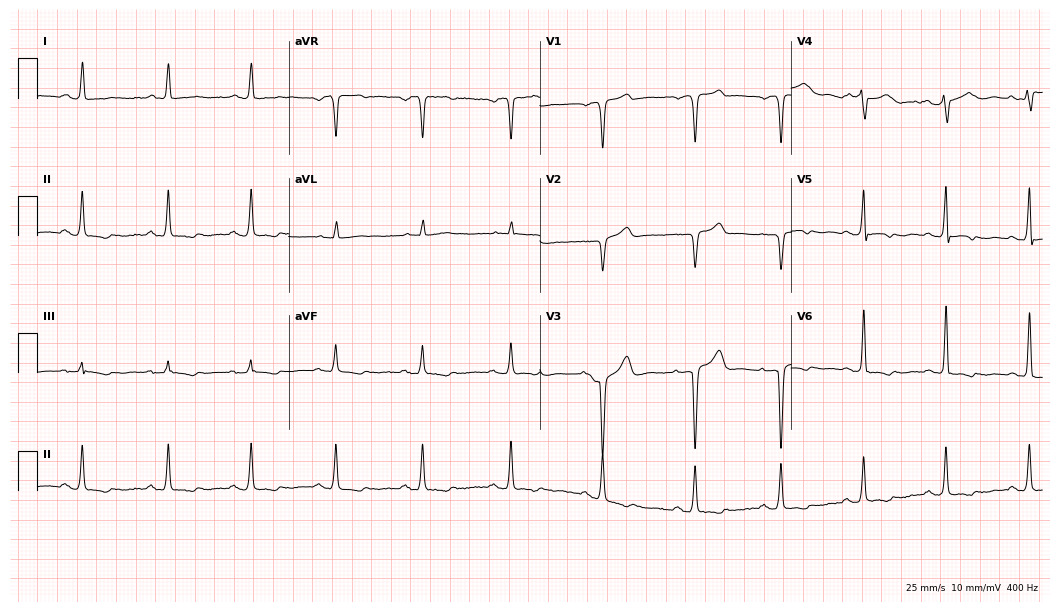
Standard 12-lead ECG recorded from a male, 56 years old (10.2-second recording at 400 Hz). None of these six findings is recorded: first-degree AV block, right bundle branch block (RBBB), left bundle branch block (LBBB), sinus bradycardia, atrial fibrillation (AF), sinus tachycardia.